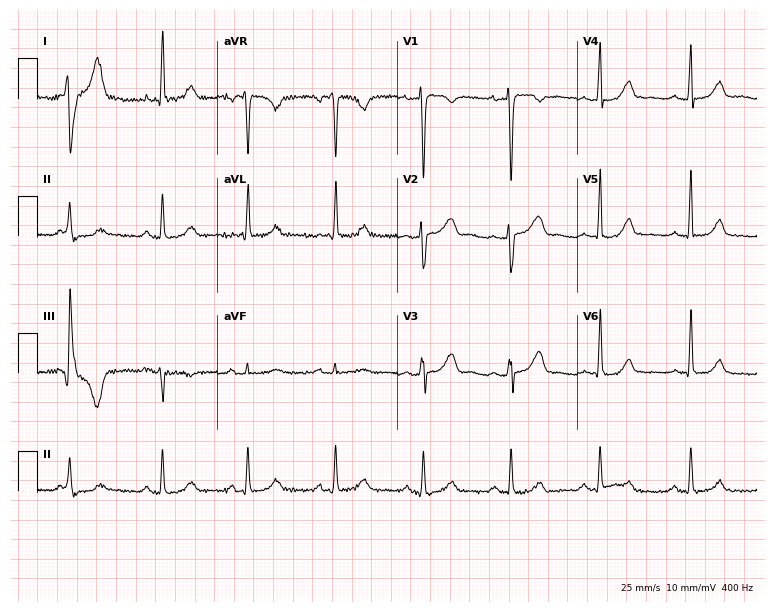
12-lead ECG (7.3-second recording at 400 Hz) from a 40-year-old female patient. Screened for six findings — first-degree AV block, right bundle branch block, left bundle branch block, sinus bradycardia, atrial fibrillation, sinus tachycardia — none is recorded. Other findings, if any, are not listed.